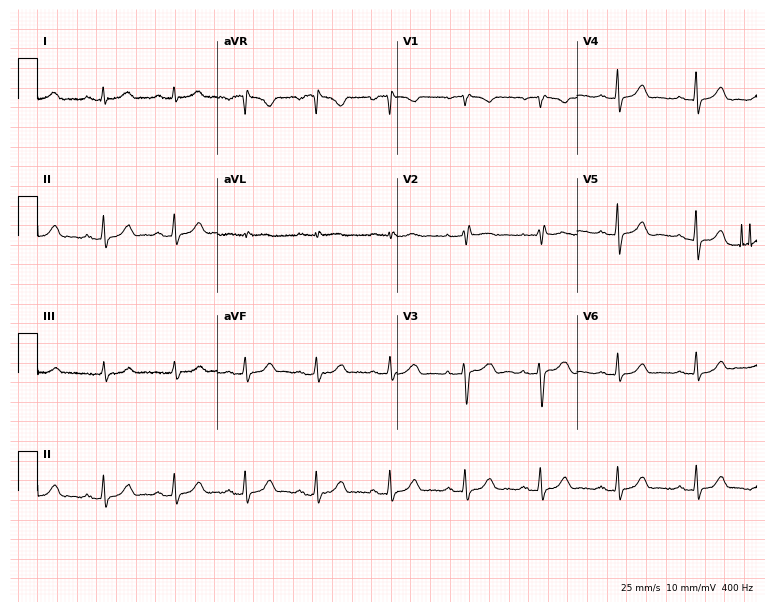
Resting 12-lead electrocardiogram (7.3-second recording at 400 Hz). Patient: a woman, 43 years old. None of these six findings is recorded: first-degree AV block, right bundle branch block, left bundle branch block, sinus bradycardia, atrial fibrillation, sinus tachycardia.